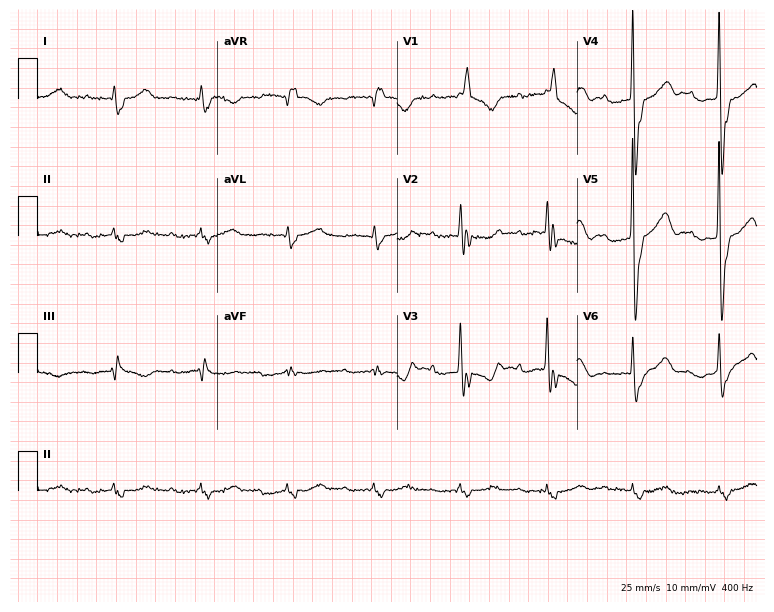
12-lead ECG from a man, 86 years old (7.3-second recording at 400 Hz). Shows first-degree AV block, right bundle branch block (RBBB).